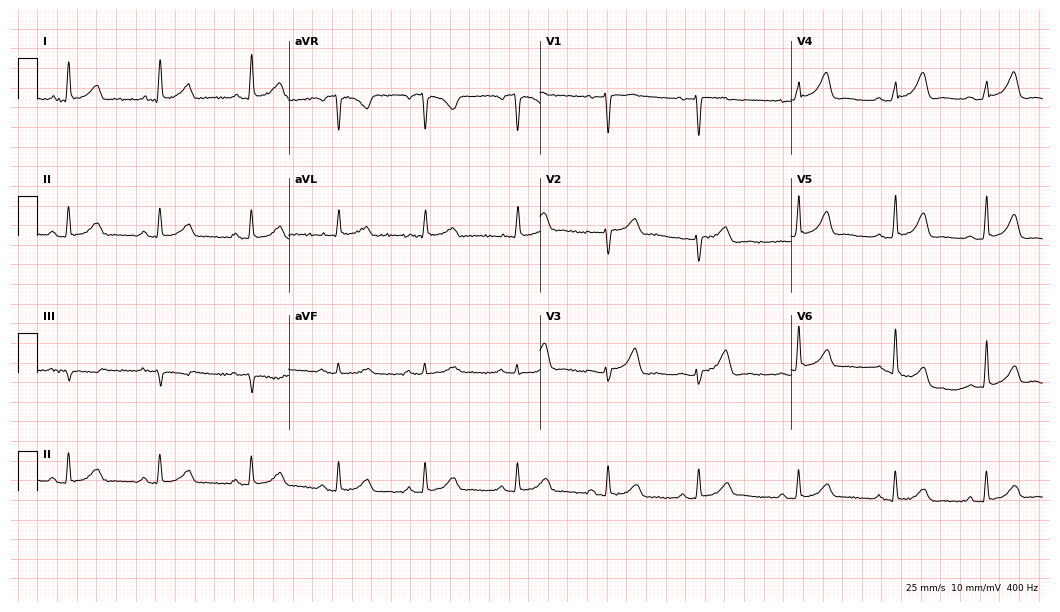
ECG (10.2-second recording at 400 Hz) — a female patient, 56 years old. Labelled as a normal ECG.